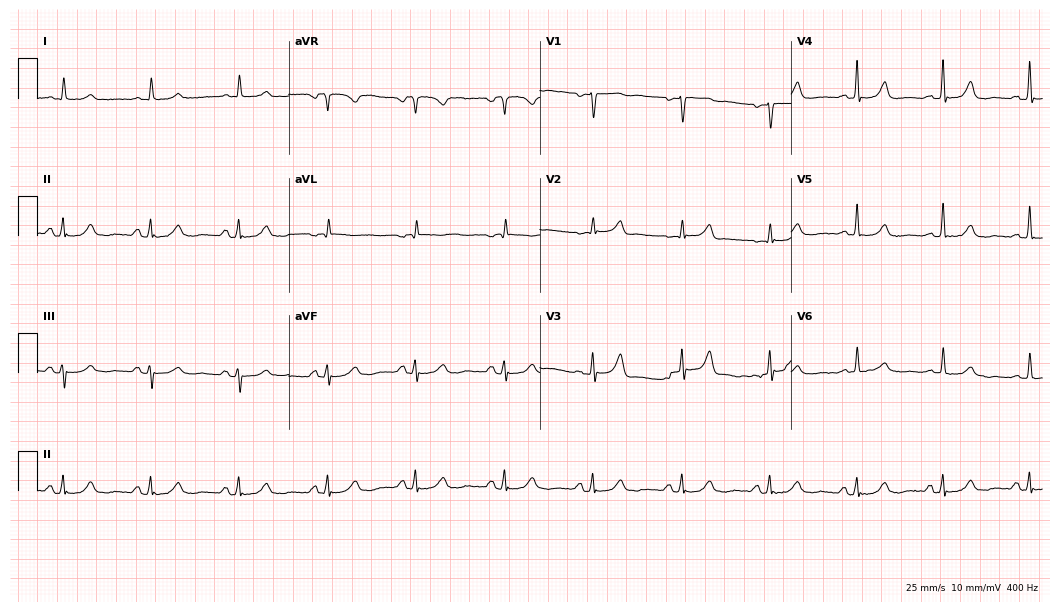
12-lead ECG from a male patient, 84 years old (10.2-second recording at 400 Hz). Recorded interpretation: within normal limits.